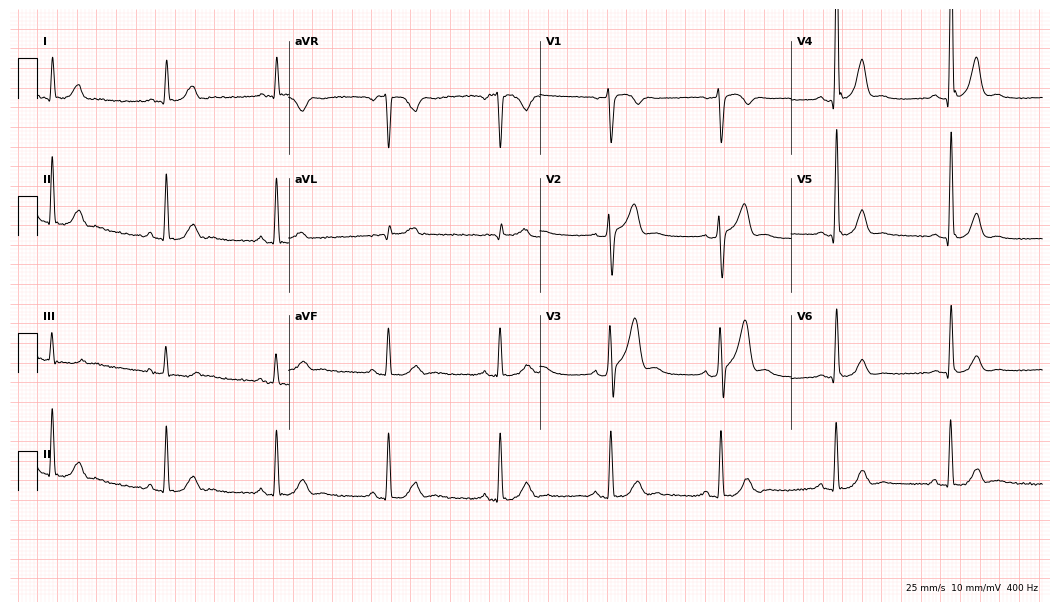
12-lead ECG from a woman, 35 years old. Screened for six findings — first-degree AV block, right bundle branch block, left bundle branch block, sinus bradycardia, atrial fibrillation, sinus tachycardia — none is recorded. Findings outside these six are not listed.